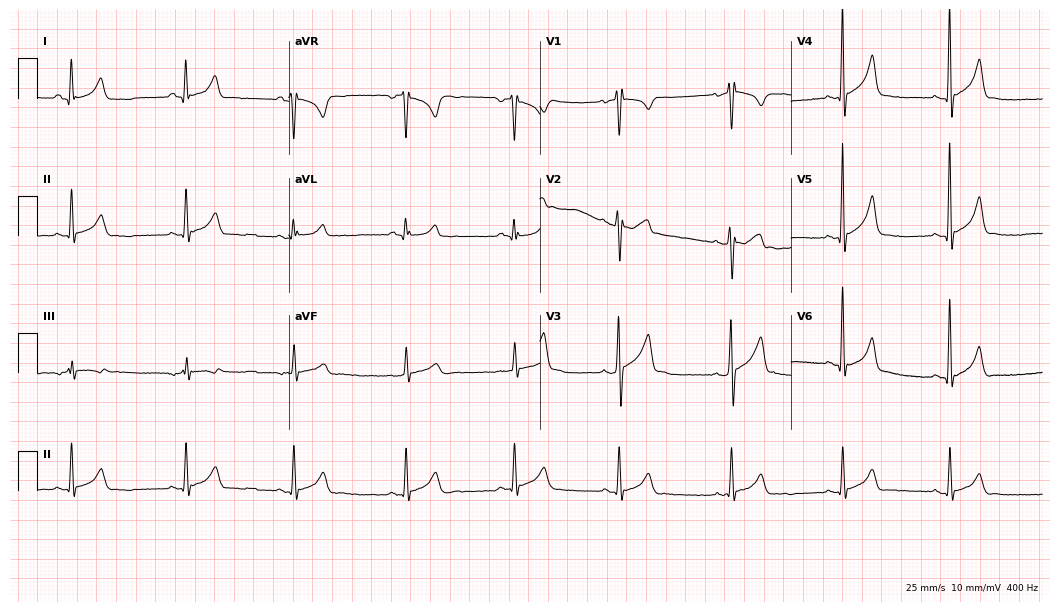
12-lead ECG from a 20-year-old man. Recorded interpretation: within normal limits.